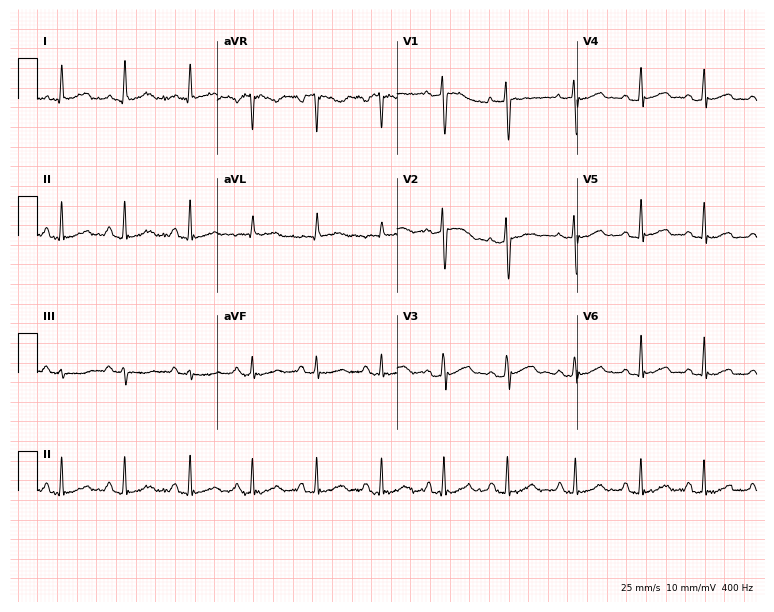
12-lead ECG from a female, 43 years old. Recorded interpretation: within normal limits.